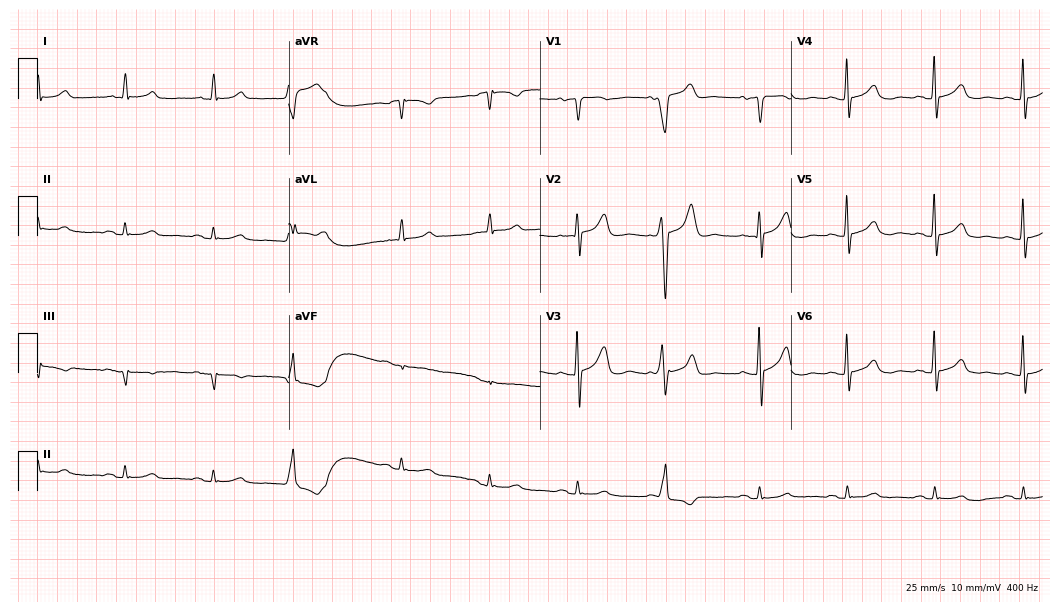
Standard 12-lead ECG recorded from an 87-year-old man (10.2-second recording at 400 Hz). None of these six findings is recorded: first-degree AV block, right bundle branch block, left bundle branch block, sinus bradycardia, atrial fibrillation, sinus tachycardia. Findings outside these six are not listed.